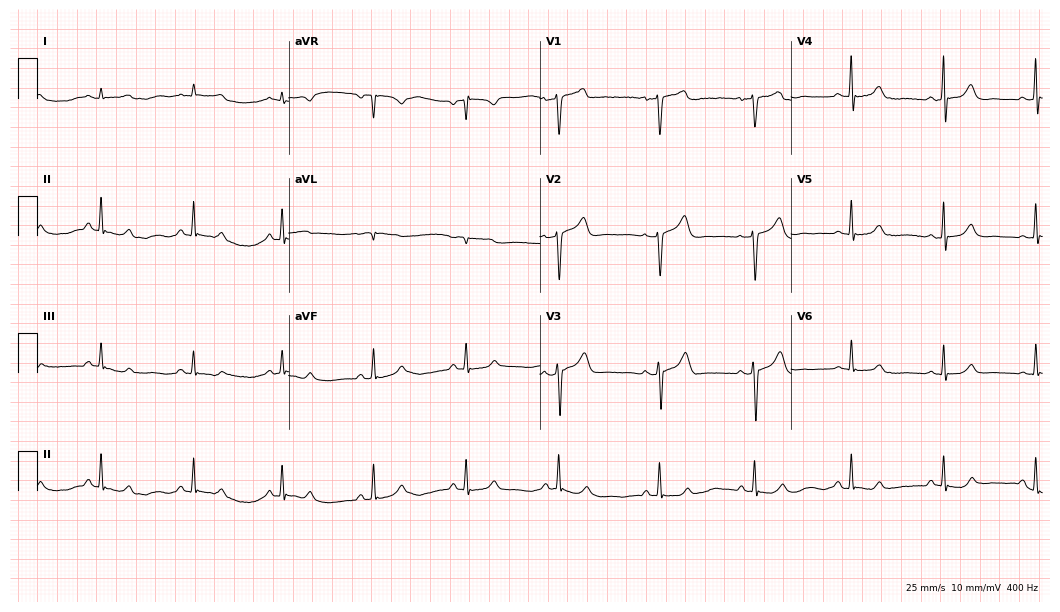
12-lead ECG from a 47-year-old male. Labelled as a normal ECG.